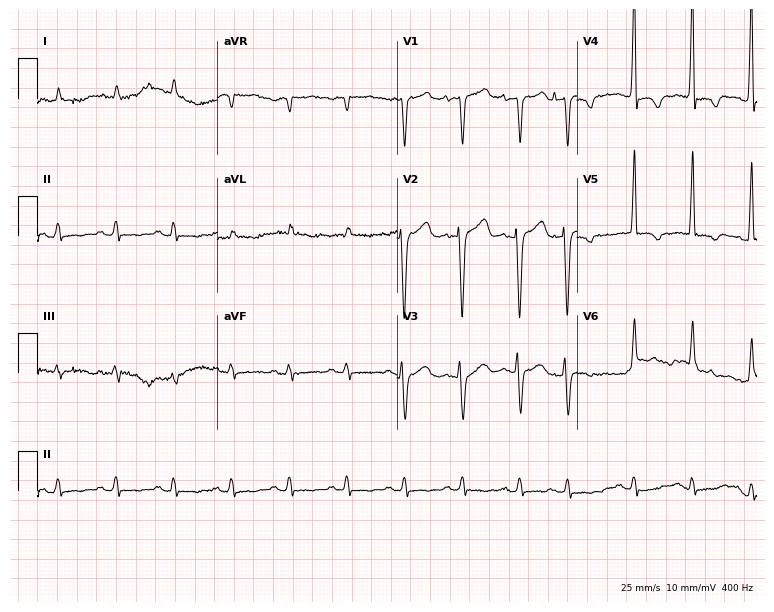
Electrocardiogram (7.3-second recording at 400 Hz), a male patient, 72 years old. Interpretation includes sinus tachycardia (a sinus rate of 100 beats per minute or more).